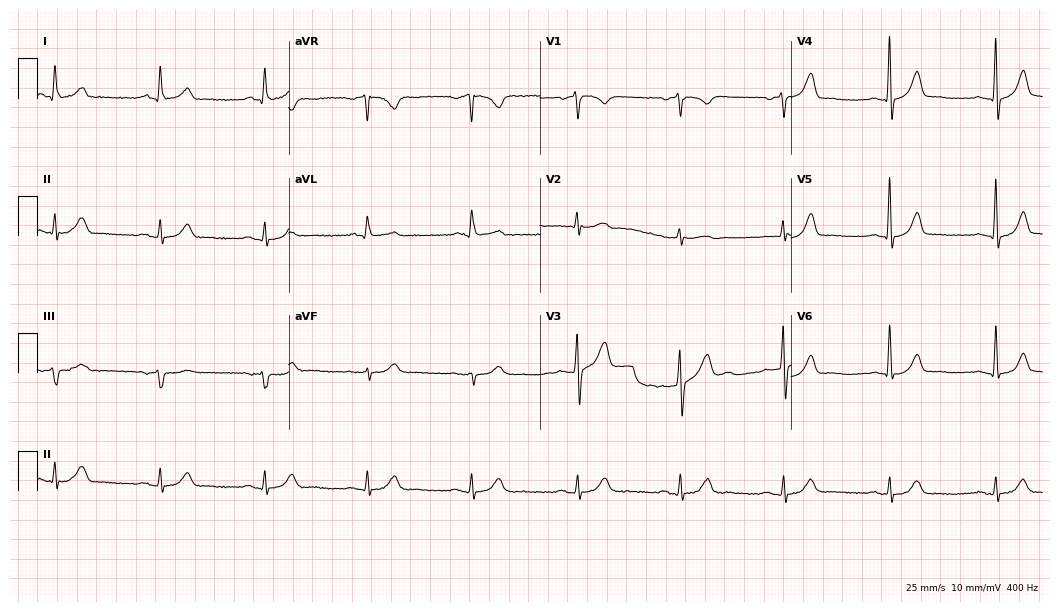
Electrocardiogram, a man, 59 years old. Overall reading on record: normal ECG.